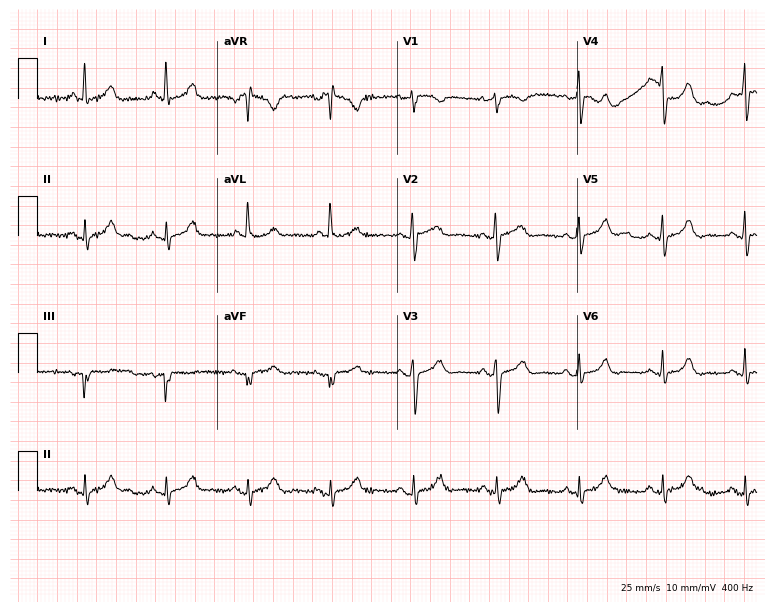
ECG — a female patient, 70 years old. Screened for six findings — first-degree AV block, right bundle branch block, left bundle branch block, sinus bradycardia, atrial fibrillation, sinus tachycardia — none is recorded.